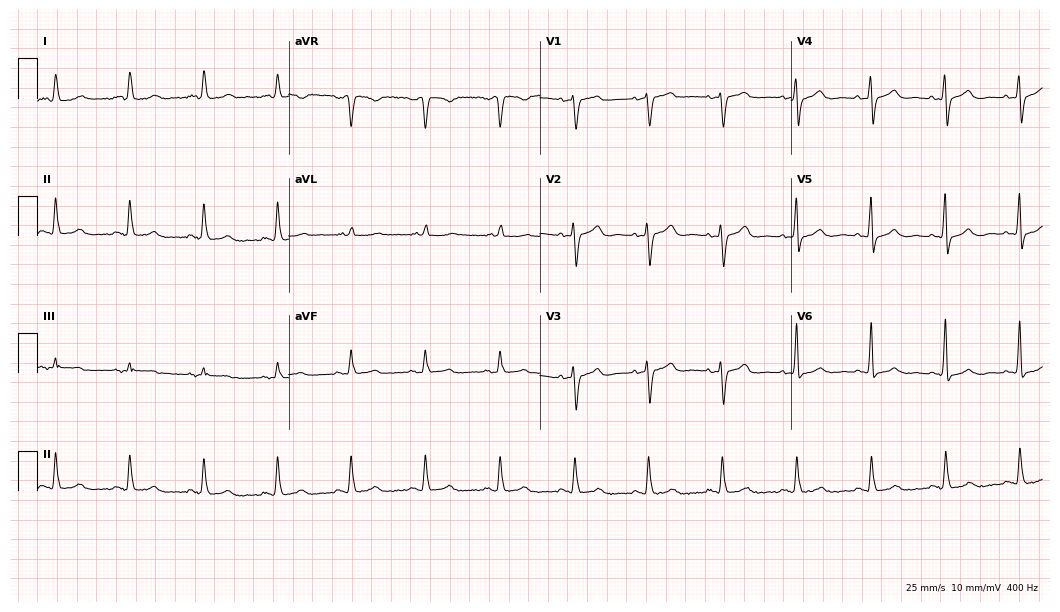
12-lead ECG (10.2-second recording at 400 Hz) from a 72-year-old woman. Labelled as a normal ECG.